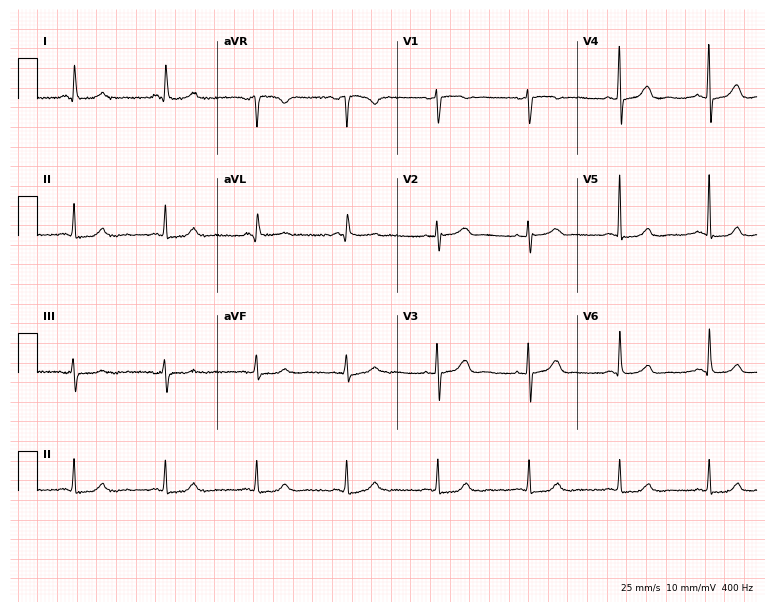
12-lead ECG (7.3-second recording at 400 Hz) from a woman, 82 years old. Screened for six findings — first-degree AV block, right bundle branch block, left bundle branch block, sinus bradycardia, atrial fibrillation, sinus tachycardia — none is recorded. Only these six findings were labelled.